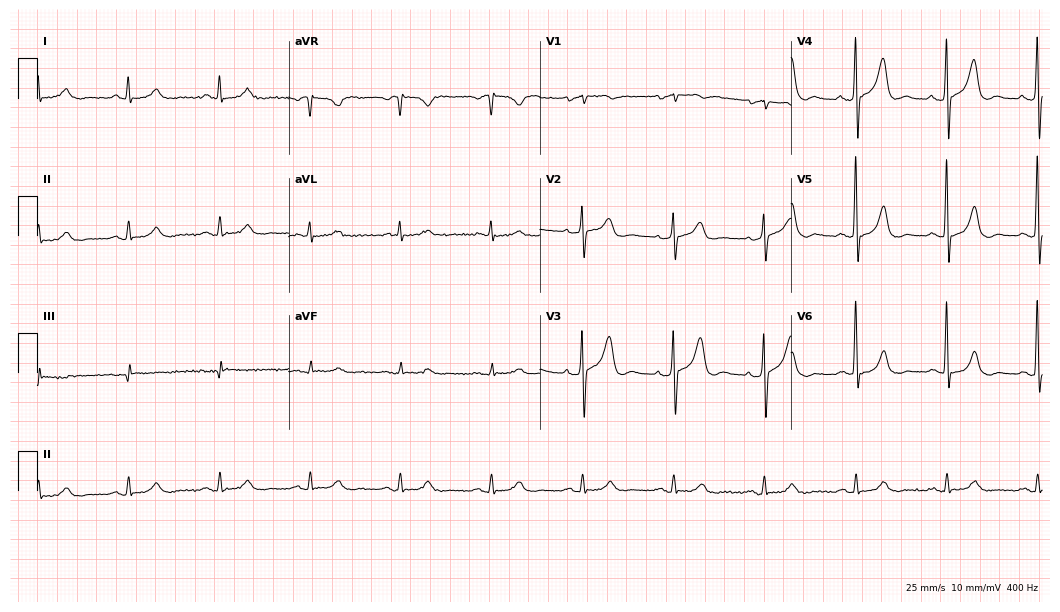
Resting 12-lead electrocardiogram. Patient: a male, 81 years old. None of these six findings is recorded: first-degree AV block, right bundle branch block, left bundle branch block, sinus bradycardia, atrial fibrillation, sinus tachycardia. Only these six findings were labelled.